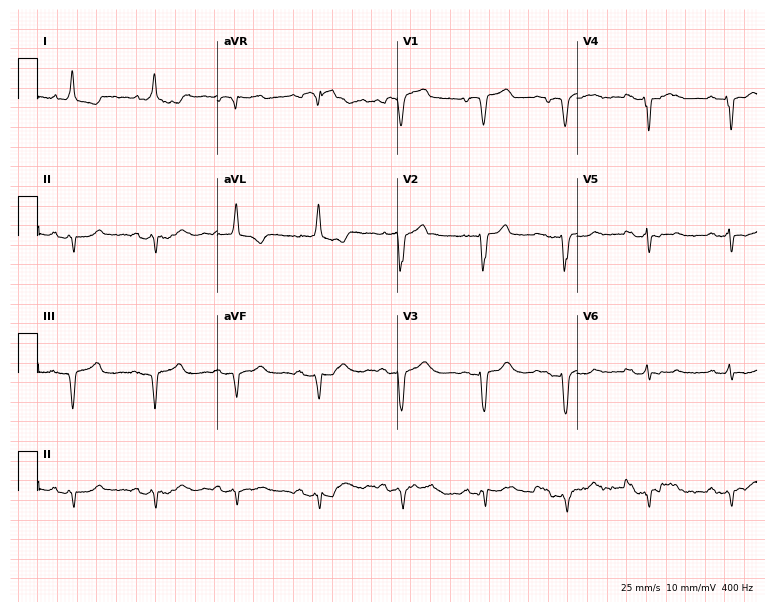
12-lead ECG from a man, 60 years old. No first-degree AV block, right bundle branch block (RBBB), left bundle branch block (LBBB), sinus bradycardia, atrial fibrillation (AF) or sinus tachycardia recorded for this tracing. Only these six findings were labelled.